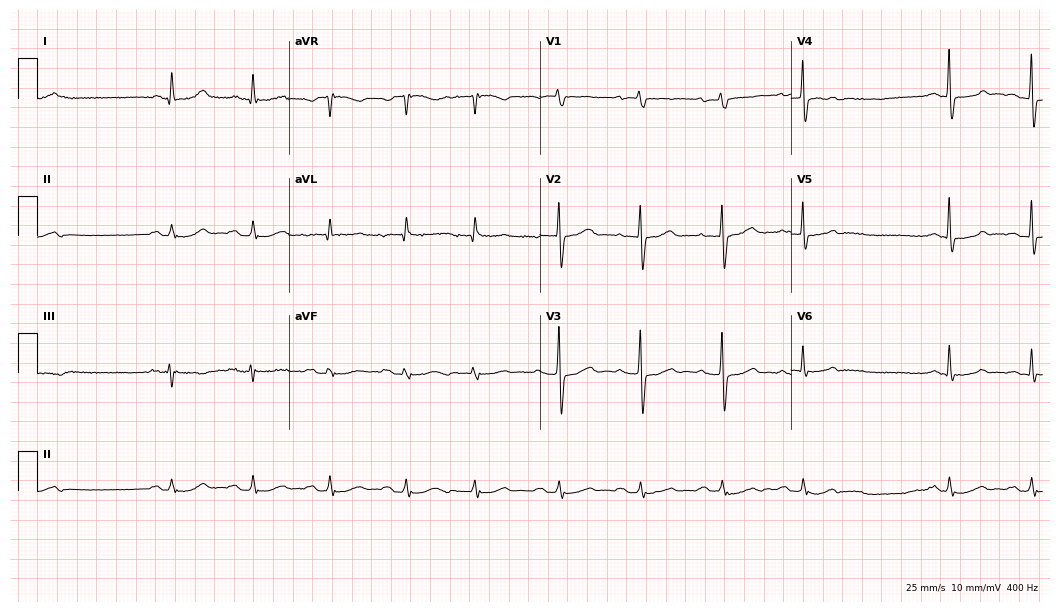
Resting 12-lead electrocardiogram (10.2-second recording at 400 Hz). Patient: a man, 84 years old. The tracing shows first-degree AV block.